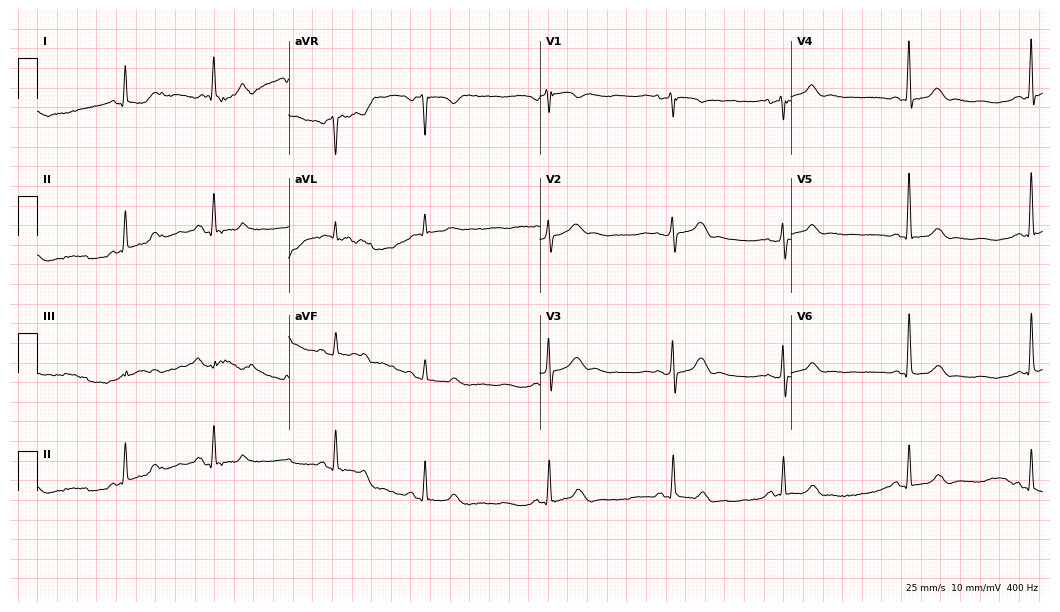
Resting 12-lead electrocardiogram. Patient: a 77-year-old female. None of these six findings is recorded: first-degree AV block, right bundle branch block, left bundle branch block, sinus bradycardia, atrial fibrillation, sinus tachycardia. Other findings, if any, are not listed.